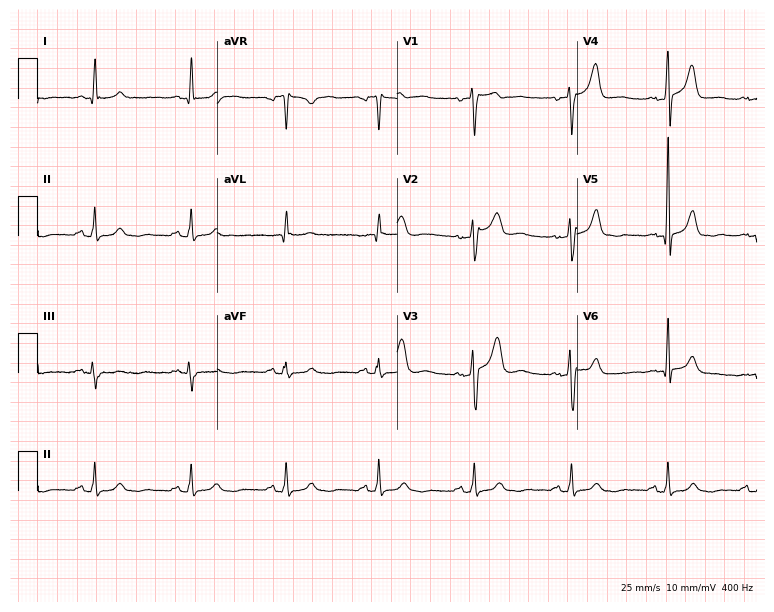
Electrocardiogram (7.3-second recording at 400 Hz), a male, 56 years old. Overall reading on record: normal ECG.